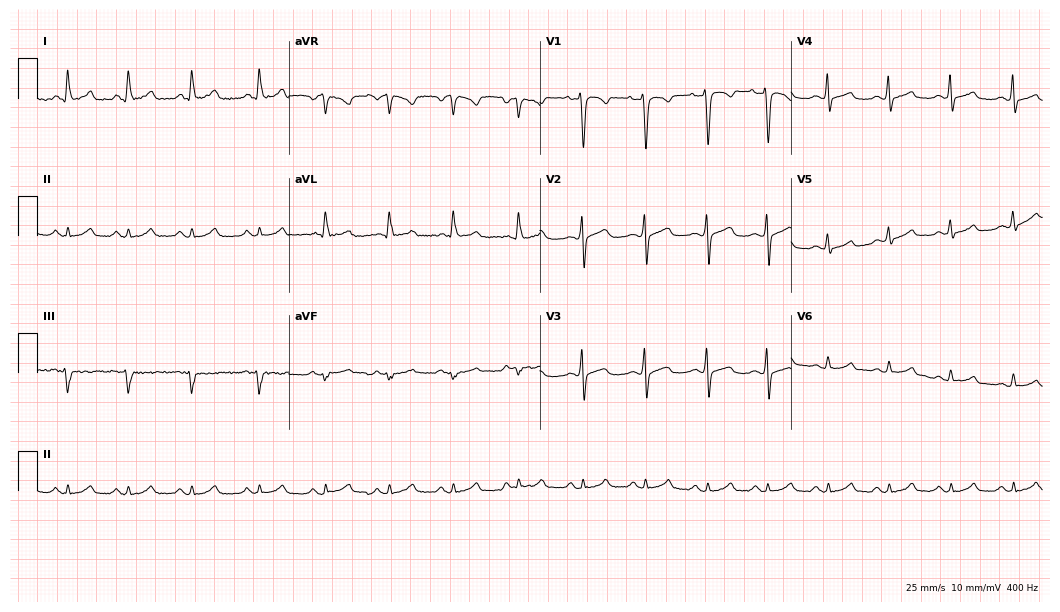
12-lead ECG from a female, 26 years old (10.2-second recording at 400 Hz). No first-degree AV block, right bundle branch block (RBBB), left bundle branch block (LBBB), sinus bradycardia, atrial fibrillation (AF) or sinus tachycardia recorded for this tracing.